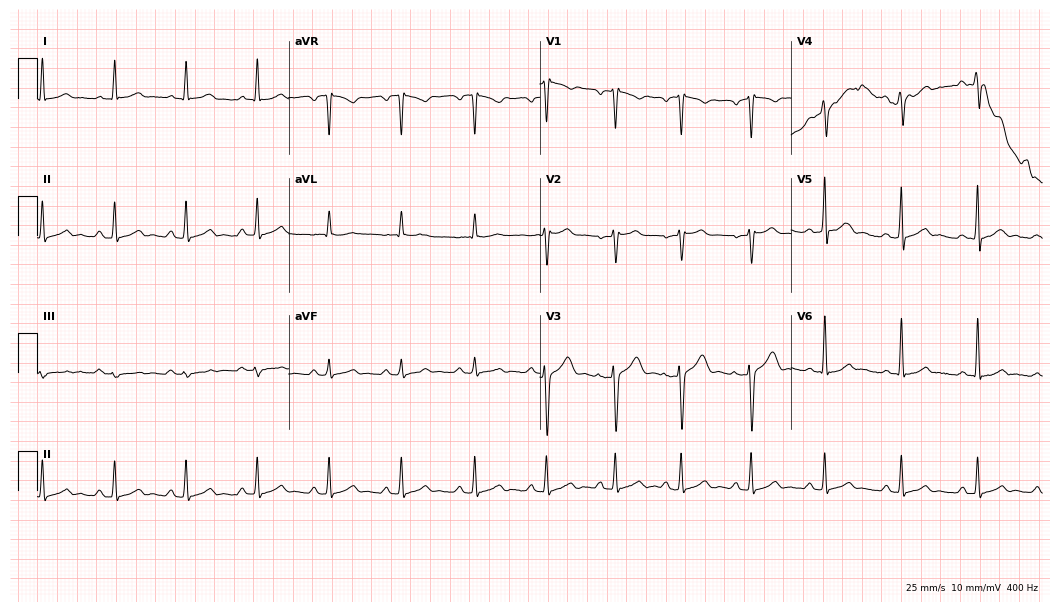
Electrocardiogram (10.2-second recording at 400 Hz), a 49-year-old male patient. Overall reading on record: normal ECG.